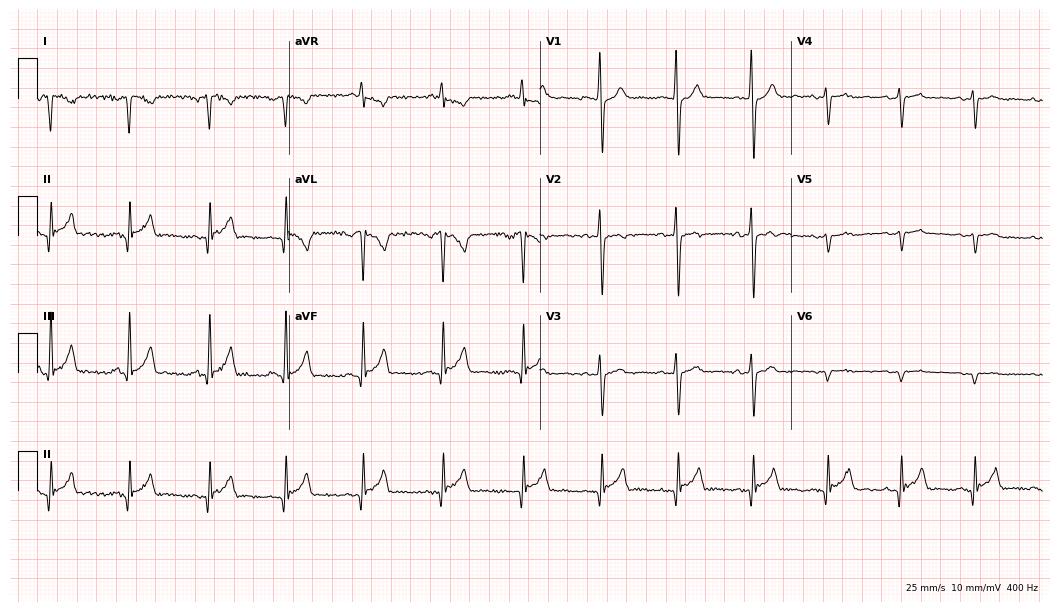
ECG — a man, 18 years old. Screened for six findings — first-degree AV block, right bundle branch block (RBBB), left bundle branch block (LBBB), sinus bradycardia, atrial fibrillation (AF), sinus tachycardia — none is recorded. Findings outside these six are not listed.